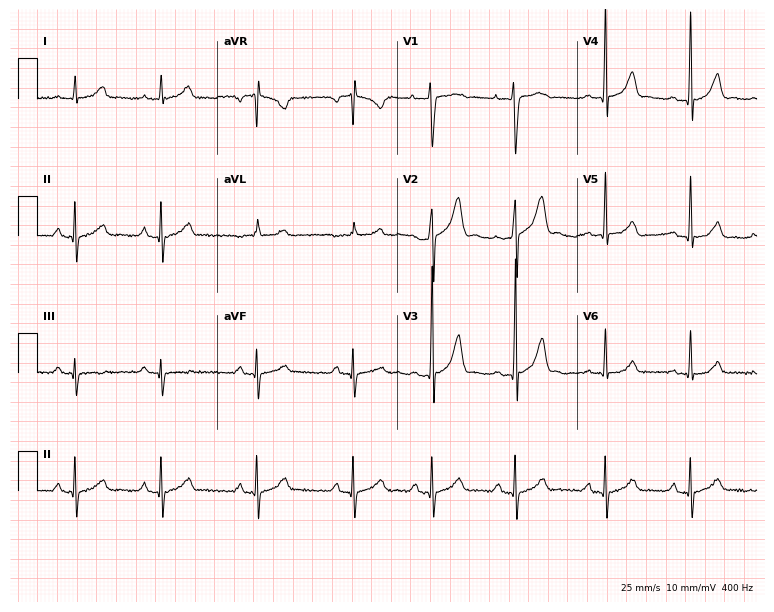
ECG (7.3-second recording at 400 Hz) — a male, 17 years old. Labelled as a normal ECG.